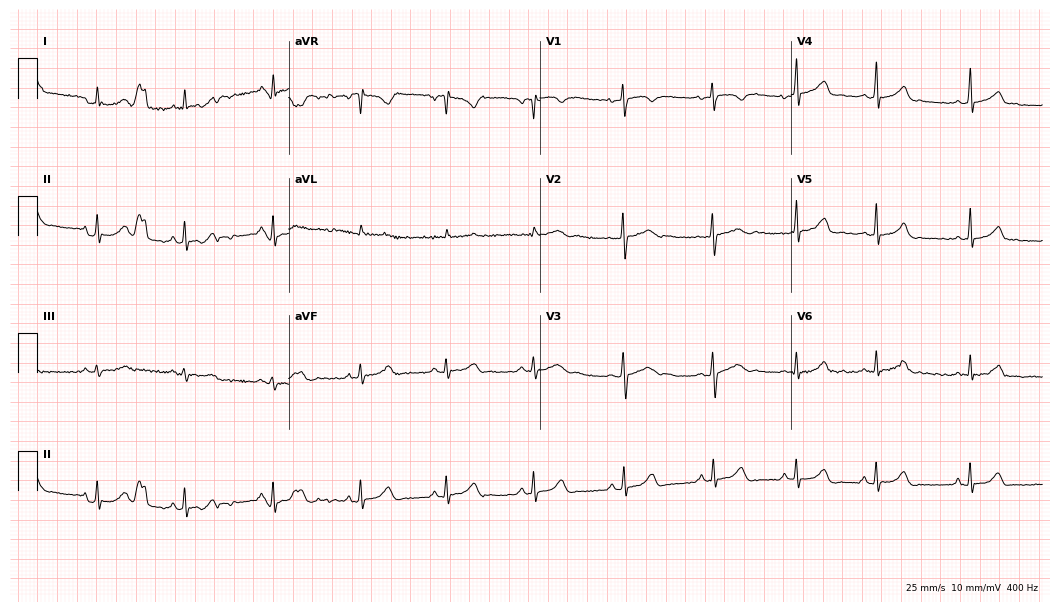
12-lead ECG (10.2-second recording at 400 Hz) from a female patient, 20 years old. Labelled as a normal ECG.